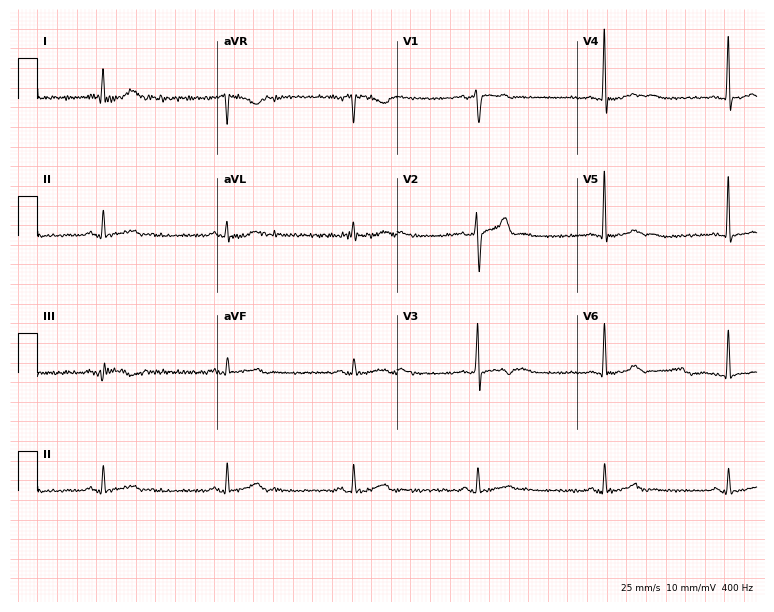
Standard 12-lead ECG recorded from a man, 52 years old. The tracing shows sinus bradycardia (a sinus rate of 50 beats per minute or less).